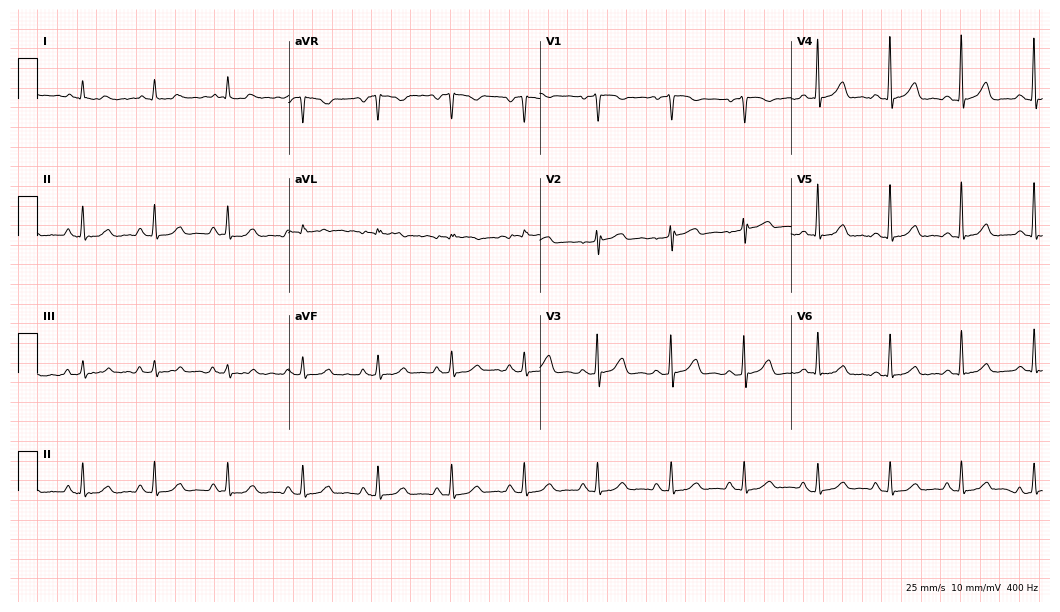
ECG — a 55-year-old female patient. Labelled as a normal ECG.